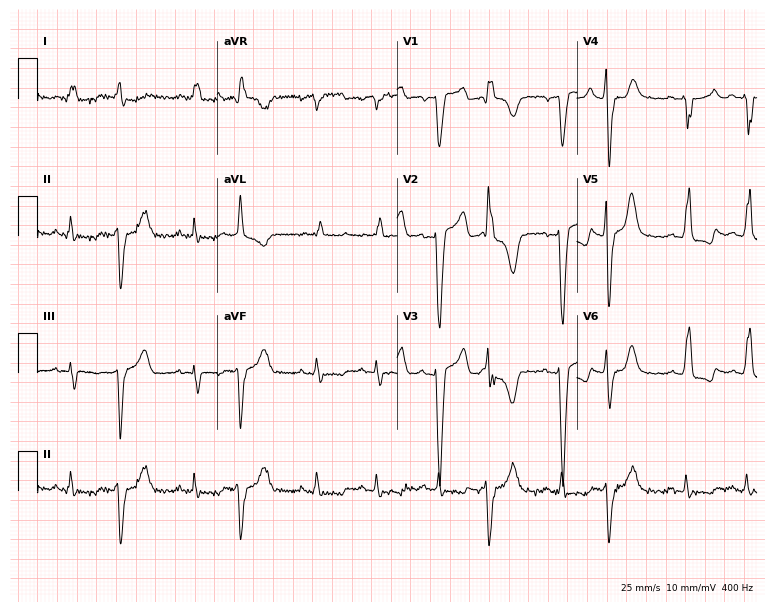
12-lead ECG (7.3-second recording at 400 Hz) from a female patient, 78 years old. Findings include left bundle branch block.